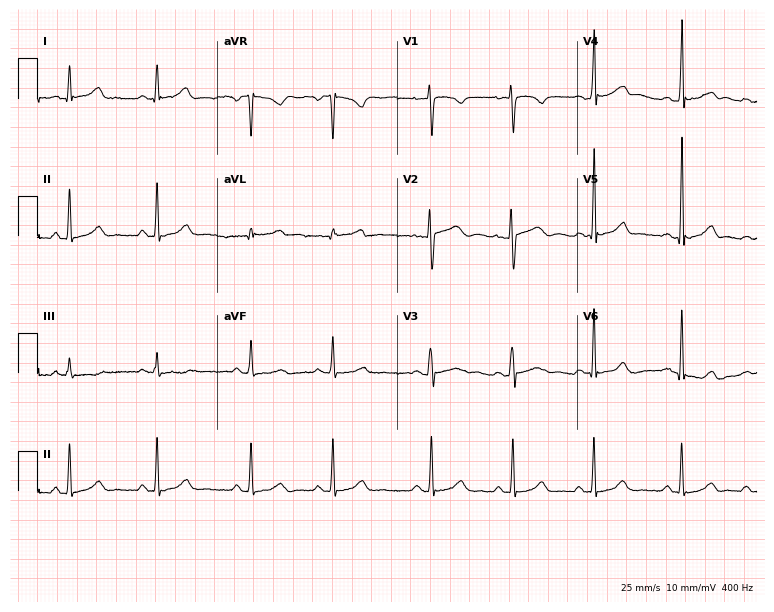
Resting 12-lead electrocardiogram (7.3-second recording at 400 Hz). Patient: a 33-year-old female. Read as a normal ECG.